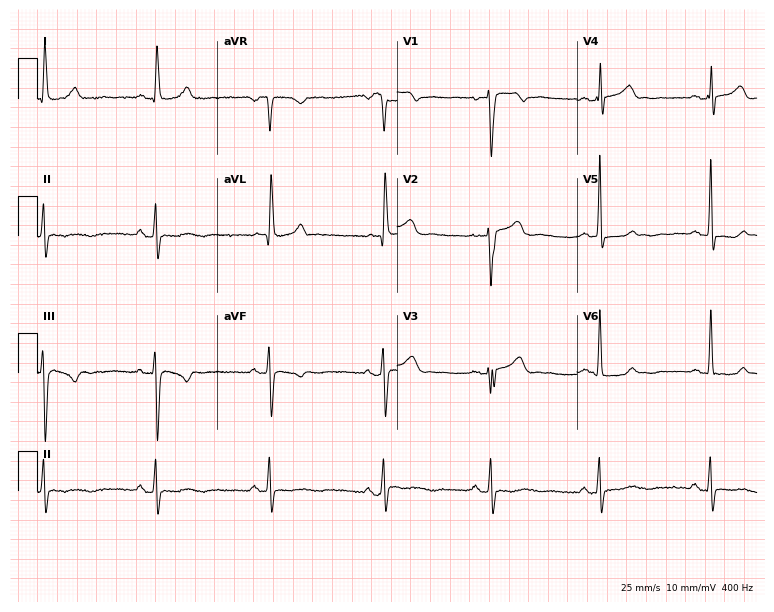
Standard 12-lead ECG recorded from a 52-year-old male (7.3-second recording at 400 Hz). None of these six findings is recorded: first-degree AV block, right bundle branch block (RBBB), left bundle branch block (LBBB), sinus bradycardia, atrial fibrillation (AF), sinus tachycardia. Other findings, if any, are not listed.